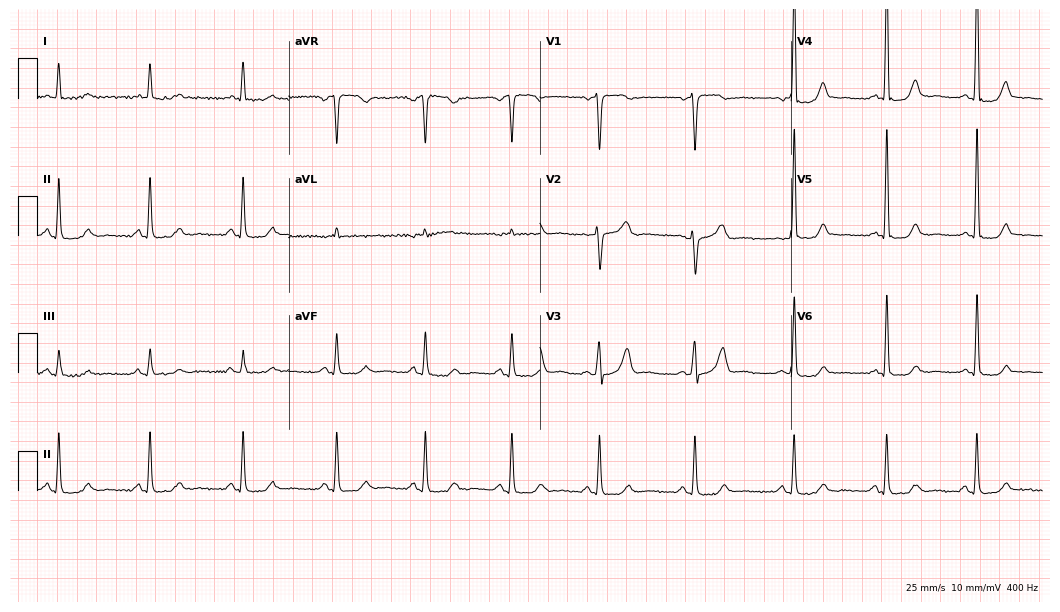
12-lead ECG from a female patient, 54 years old. Screened for six findings — first-degree AV block, right bundle branch block (RBBB), left bundle branch block (LBBB), sinus bradycardia, atrial fibrillation (AF), sinus tachycardia — none is recorded. Only these six findings were labelled.